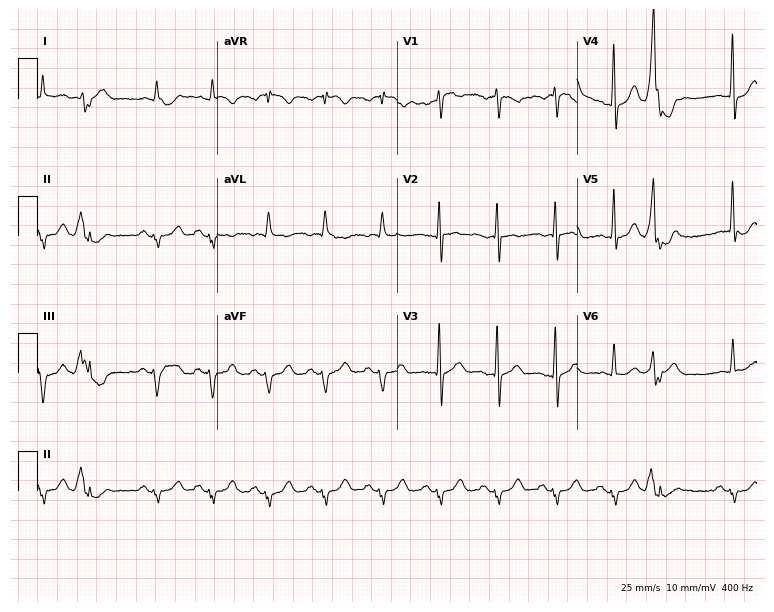
12-lead ECG from a man, 70 years old. Shows sinus tachycardia (a sinus rate of 100 beats per minute or more).